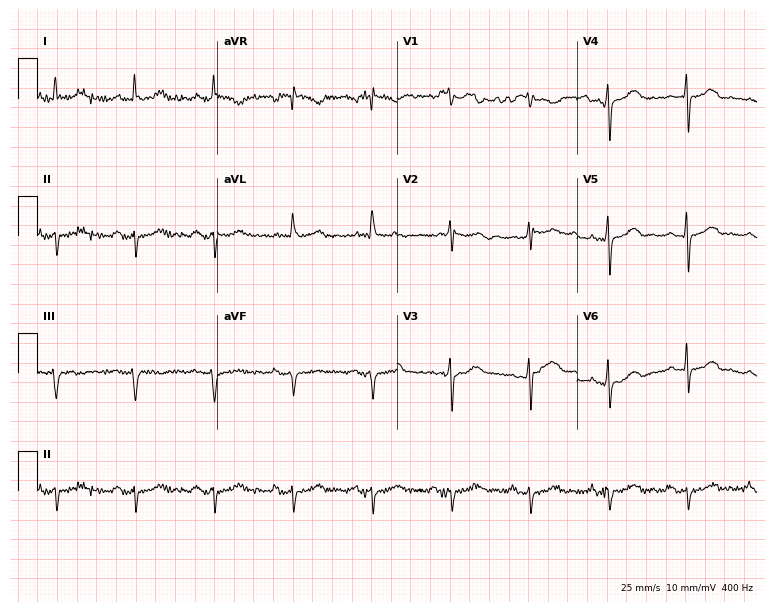
Electrocardiogram (7.3-second recording at 400 Hz), a 57-year-old female patient. Of the six screened findings (first-degree AV block, right bundle branch block, left bundle branch block, sinus bradycardia, atrial fibrillation, sinus tachycardia), none is recorded.